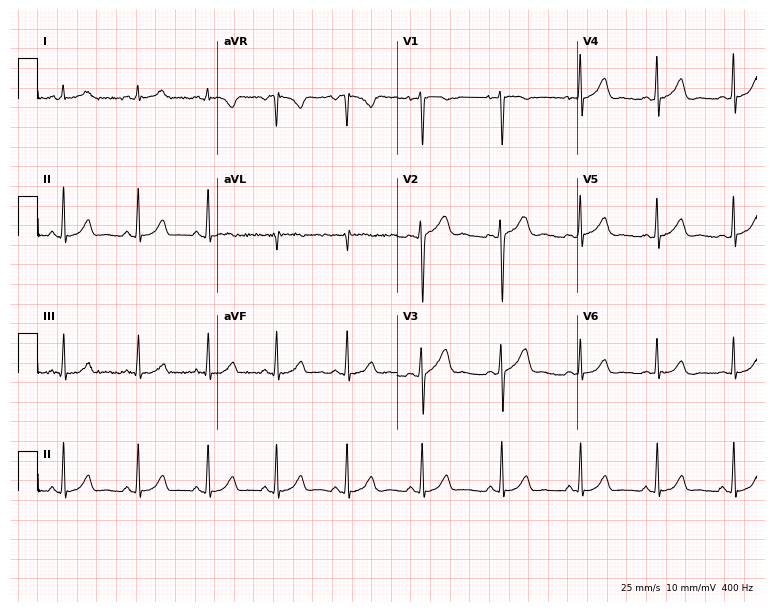
Standard 12-lead ECG recorded from a 24-year-old female (7.3-second recording at 400 Hz). Read as a normal ECG.